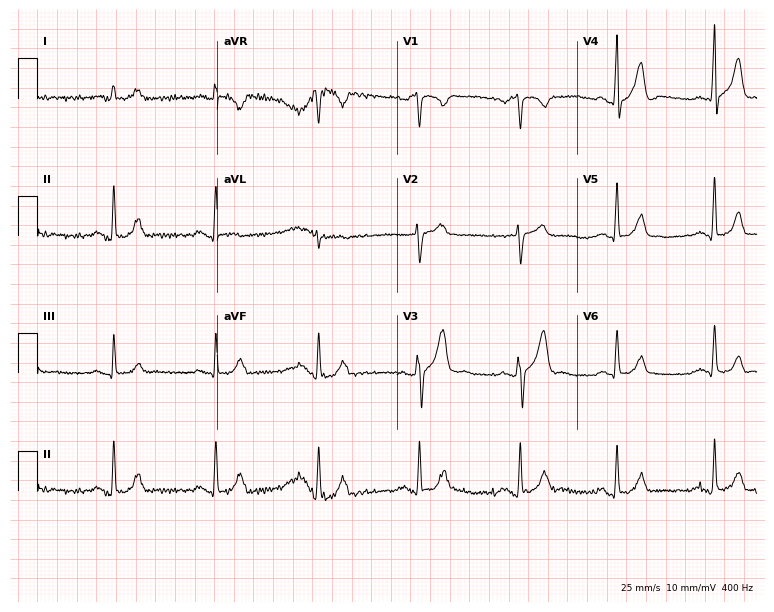
Standard 12-lead ECG recorded from a male, 55 years old. Read as a normal ECG.